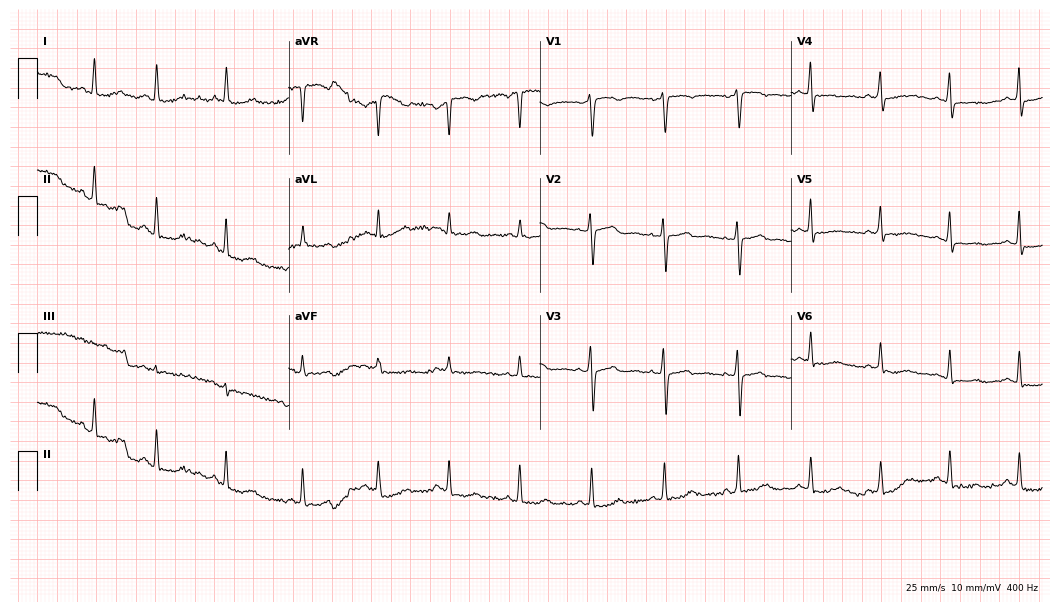
Standard 12-lead ECG recorded from a 42-year-old female. Read as a normal ECG.